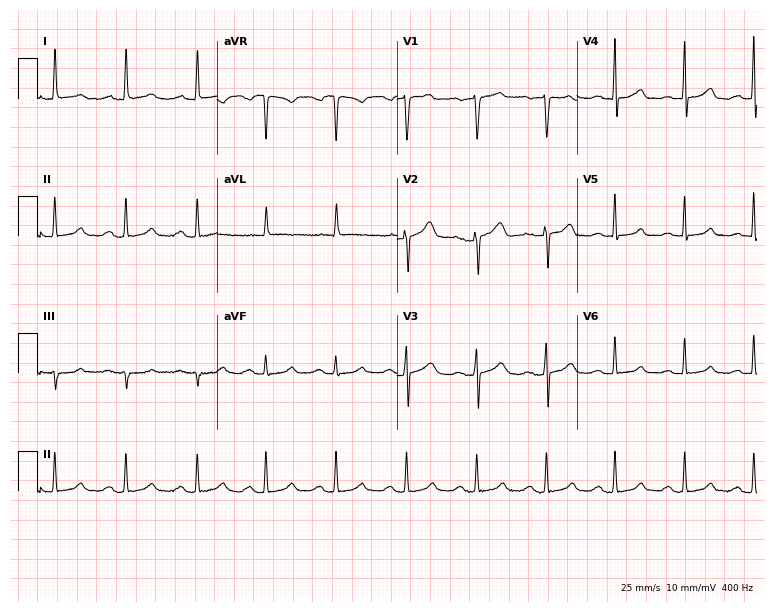
12-lead ECG from a 63-year-old female (7.3-second recording at 400 Hz). Recorded interpretation: within normal limits.